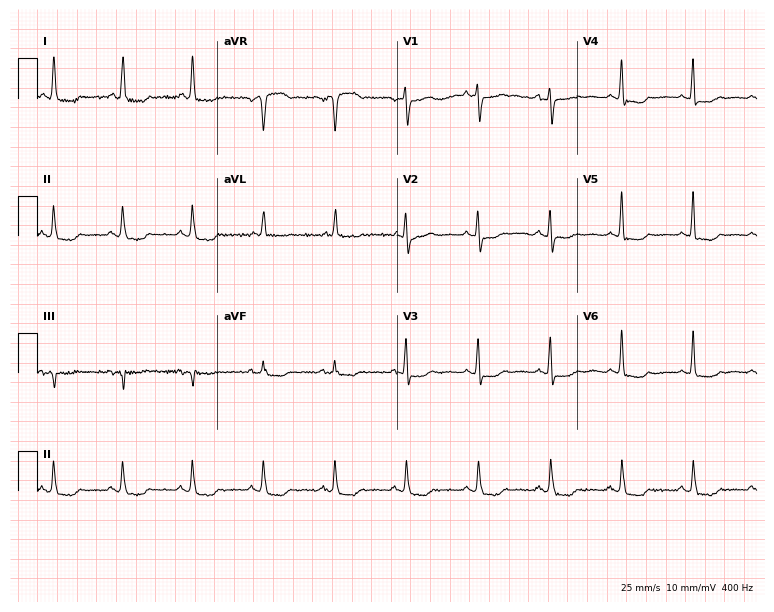
Standard 12-lead ECG recorded from a female, 75 years old. None of these six findings is recorded: first-degree AV block, right bundle branch block (RBBB), left bundle branch block (LBBB), sinus bradycardia, atrial fibrillation (AF), sinus tachycardia. Only these six findings were labelled.